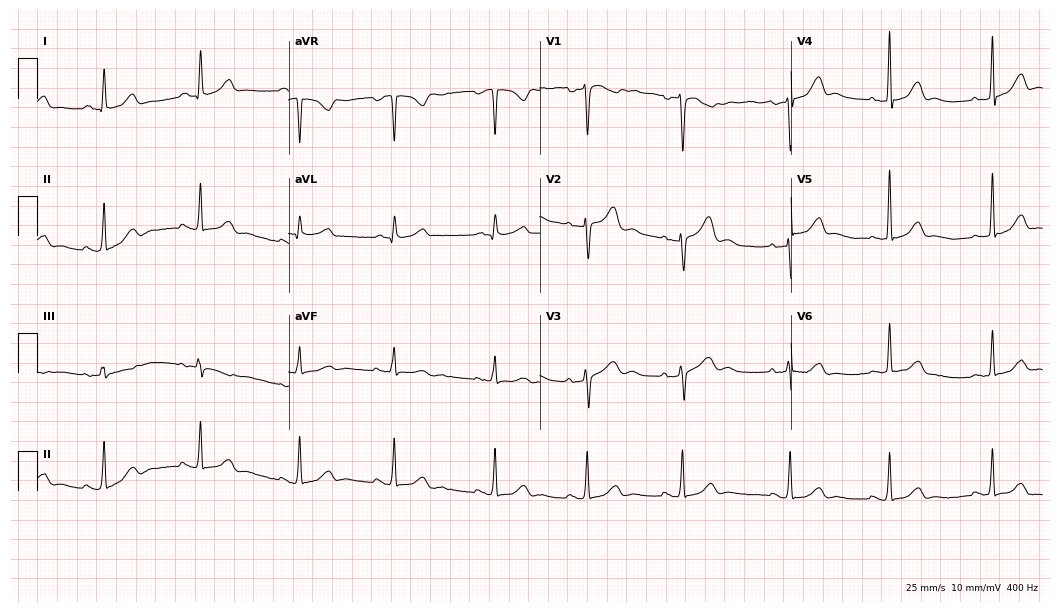
Resting 12-lead electrocardiogram (10.2-second recording at 400 Hz). Patient: a 49-year-old woman. Read as a normal ECG.